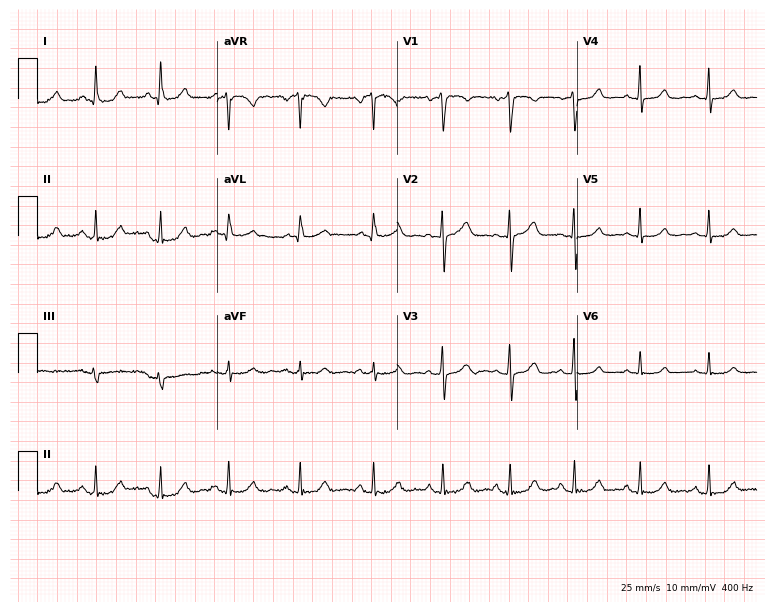
12-lead ECG from a woman, 42 years old. Recorded interpretation: within normal limits.